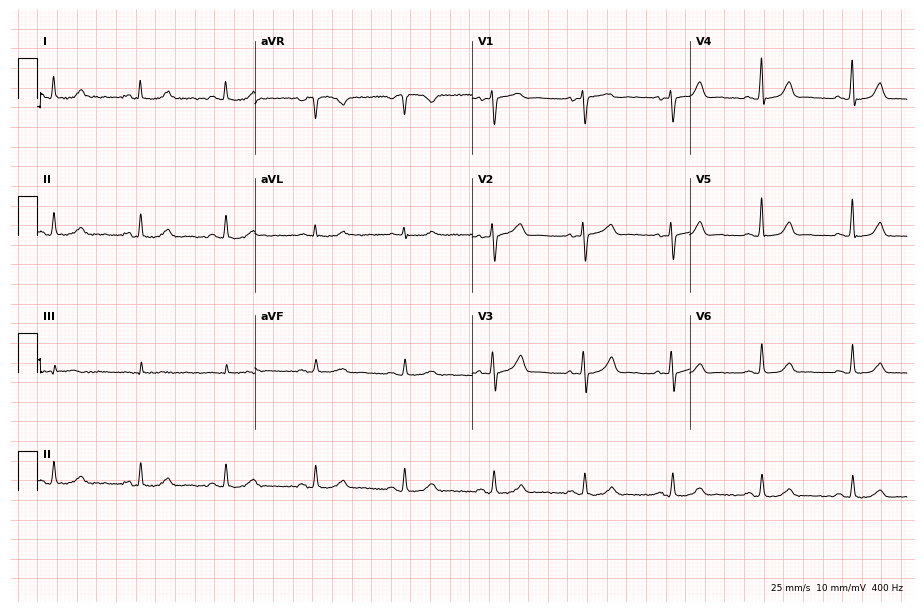
Resting 12-lead electrocardiogram (8.9-second recording at 400 Hz). Patient: a 36-year-old female. Read as a normal ECG.